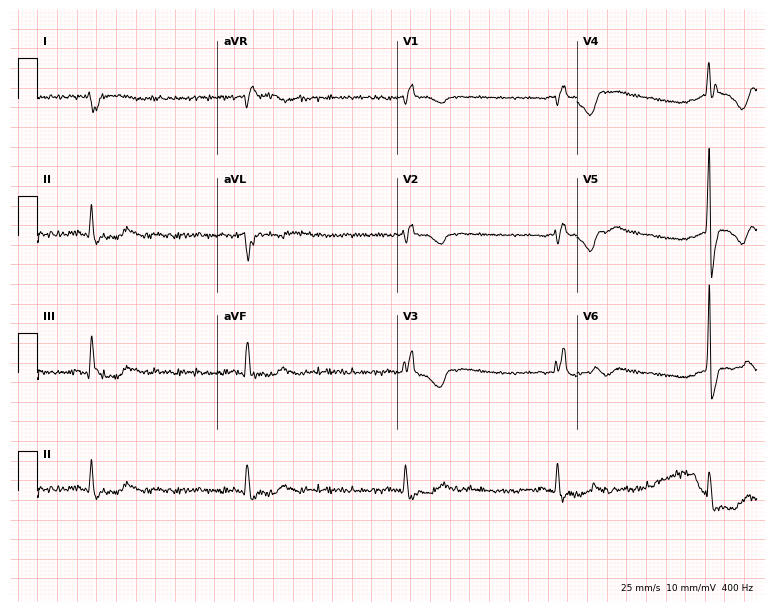
Electrocardiogram (7.3-second recording at 400 Hz), a man, 66 years old. Of the six screened findings (first-degree AV block, right bundle branch block, left bundle branch block, sinus bradycardia, atrial fibrillation, sinus tachycardia), none is recorded.